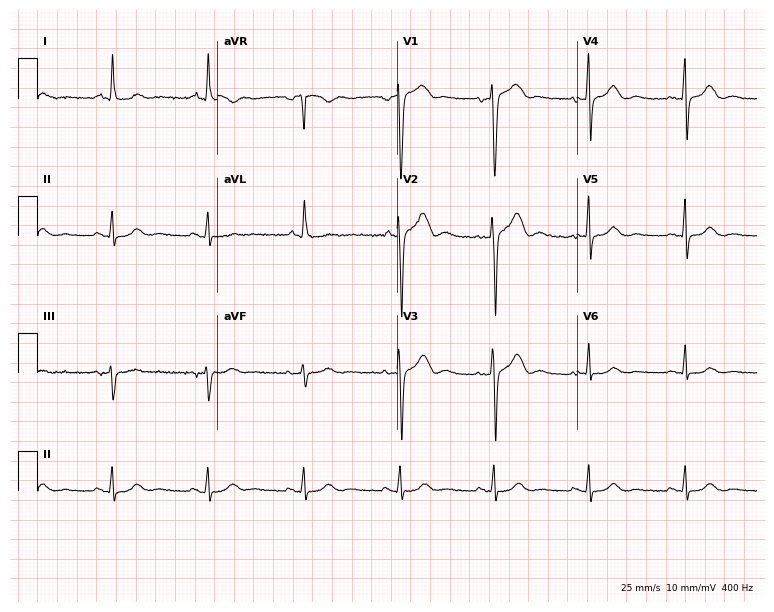
Resting 12-lead electrocardiogram (7.3-second recording at 400 Hz). Patient: a 45-year-old woman. None of these six findings is recorded: first-degree AV block, right bundle branch block, left bundle branch block, sinus bradycardia, atrial fibrillation, sinus tachycardia.